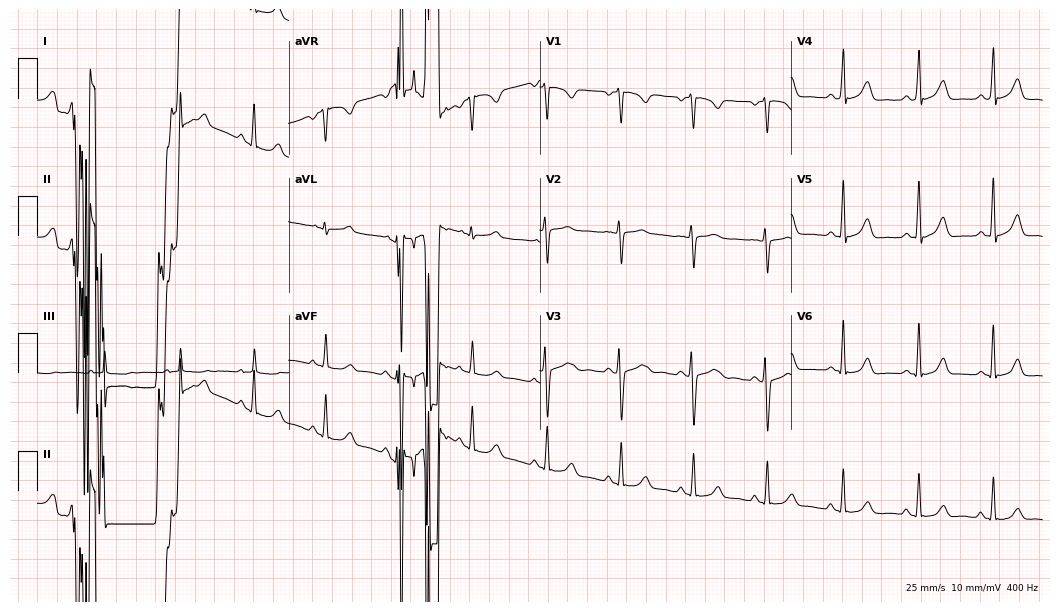
ECG (10.2-second recording at 400 Hz) — a woman, 30 years old. Labelled as a normal ECG.